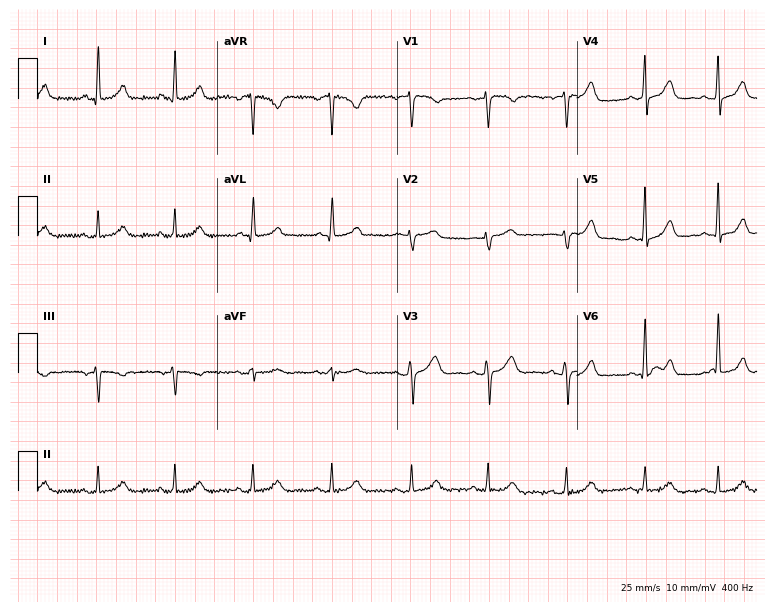
12-lead ECG (7.3-second recording at 400 Hz) from a female, 55 years old. Labelled as a normal ECG.